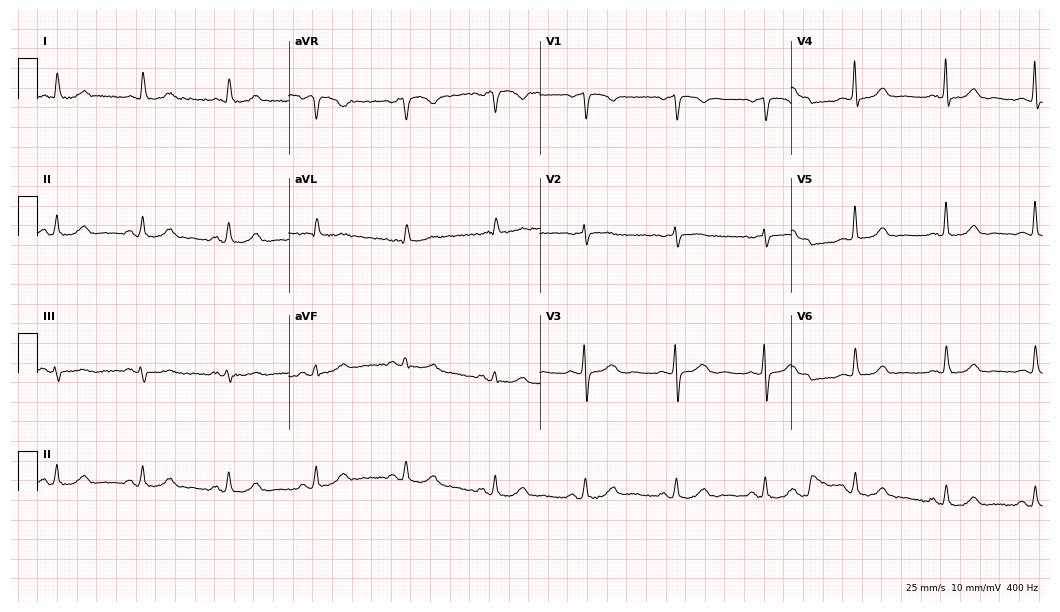
Standard 12-lead ECG recorded from a 71-year-old woman. Read as a normal ECG.